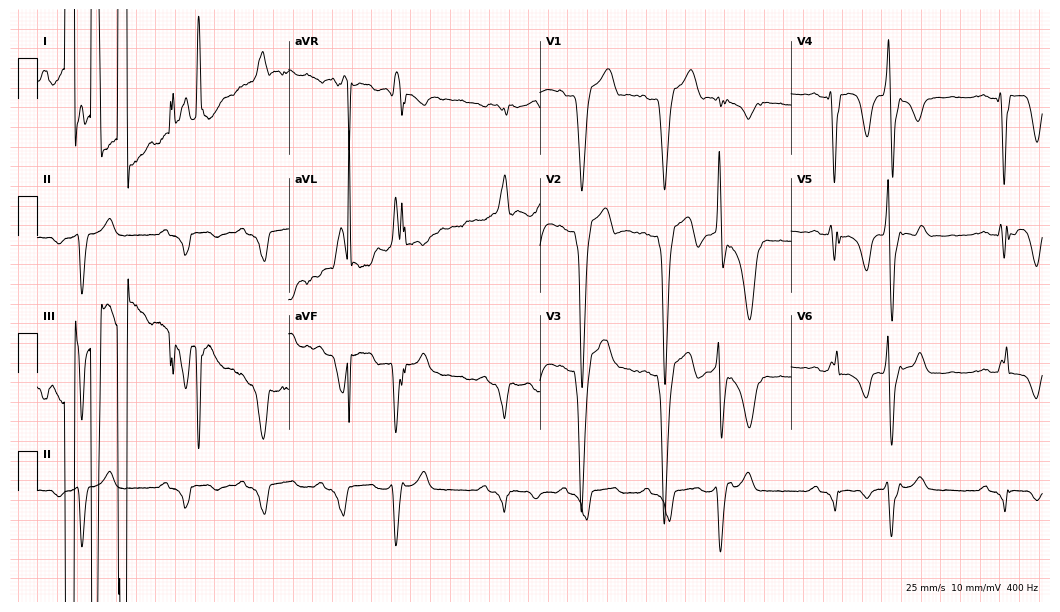
Standard 12-lead ECG recorded from a 75-year-old male (10.2-second recording at 400 Hz). None of these six findings is recorded: first-degree AV block, right bundle branch block (RBBB), left bundle branch block (LBBB), sinus bradycardia, atrial fibrillation (AF), sinus tachycardia. Findings outside these six are not listed.